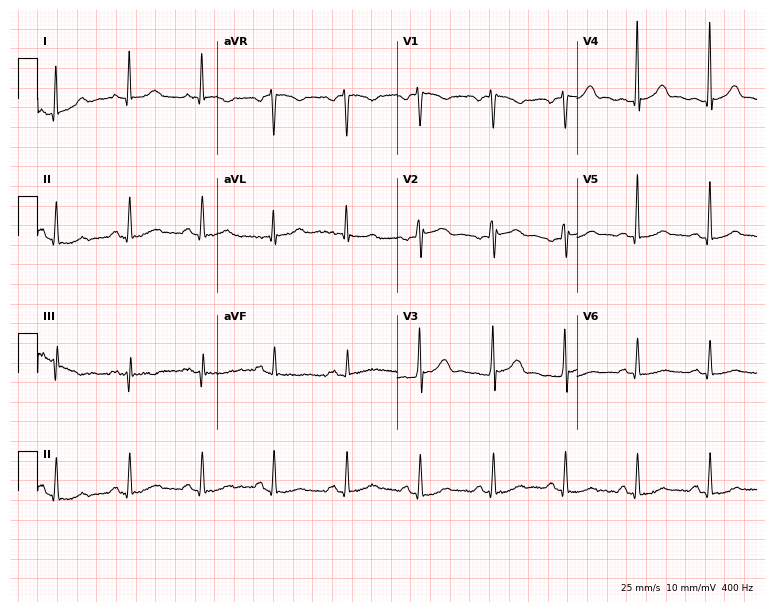
Electrocardiogram (7.3-second recording at 400 Hz), a female patient, 49 years old. Overall reading on record: normal ECG.